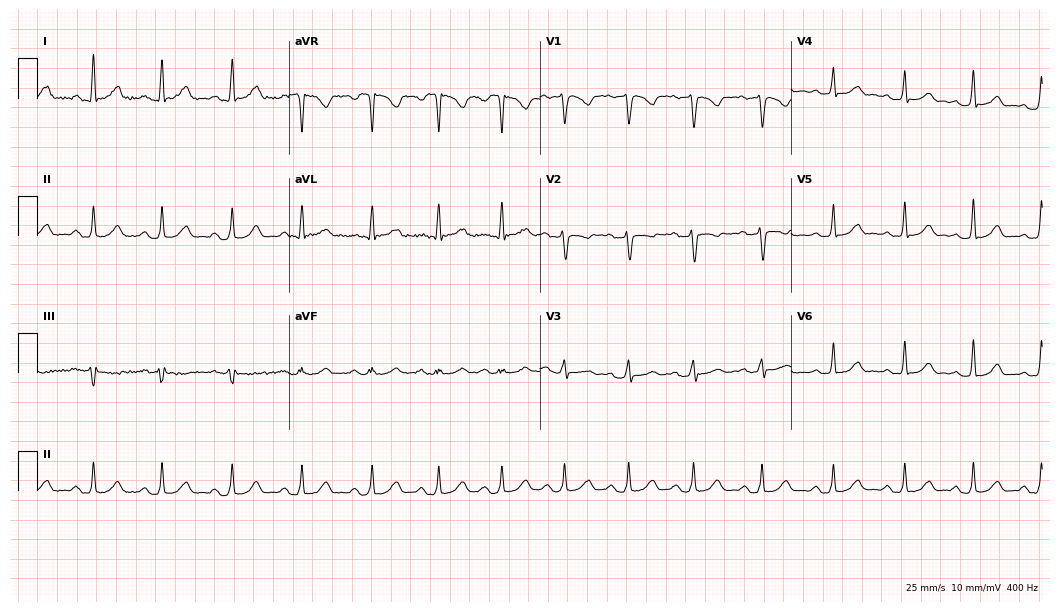
12-lead ECG (10.2-second recording at 400 Hz) from a woman, 26 years old. Labelled as a normal ECG.